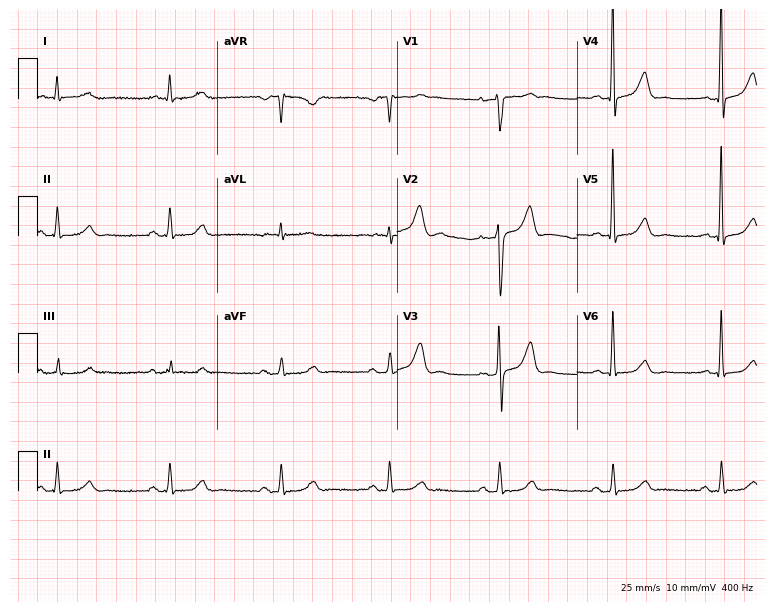
12-lead ECG from a 69-year-old male (7.3-second recording at 400 Hz). Recorded interpretation: within normal limits.